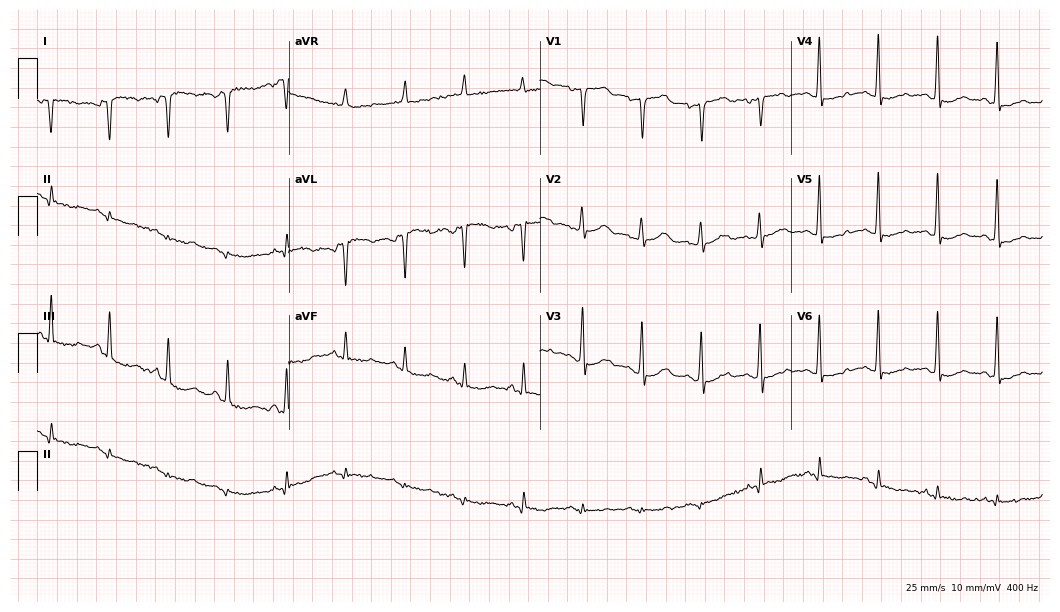
ECG — a 52-year-old female patient. Screened for six findings — first-degree AV block, right bundle branch block, left bundle branch block, sinus bradycardia, atrial fibrillation, sinus tachycardia — none is recorded. Only these six findings were labelled.